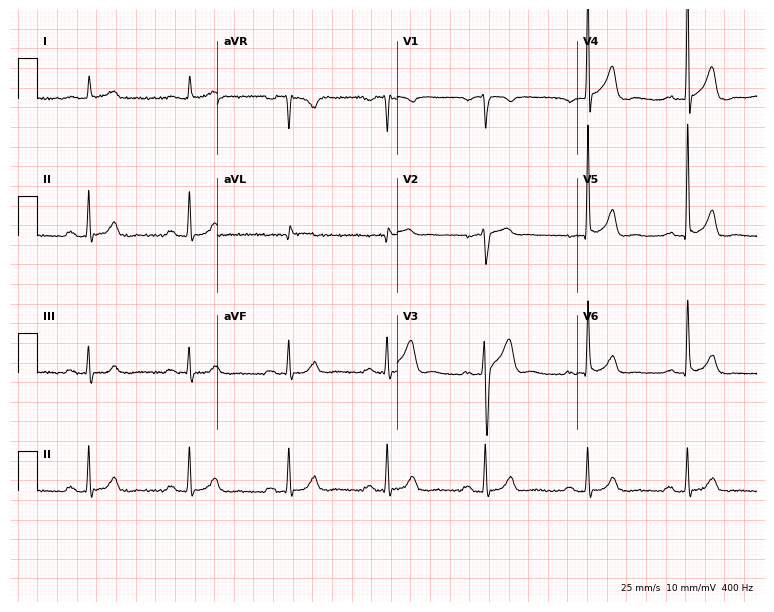
Standard 12-lead ECG recorded from a 62-year-old male patient (7.3-second recording at 400 Hz). None of these six findings is recorded: first-degree AV block, right bundle branch block (RBBB), left bundle branch block (LBBB), sinus bradycardia, atrial fibrillation (AF), sinus tachycardia. Findings outside these six are not listed.